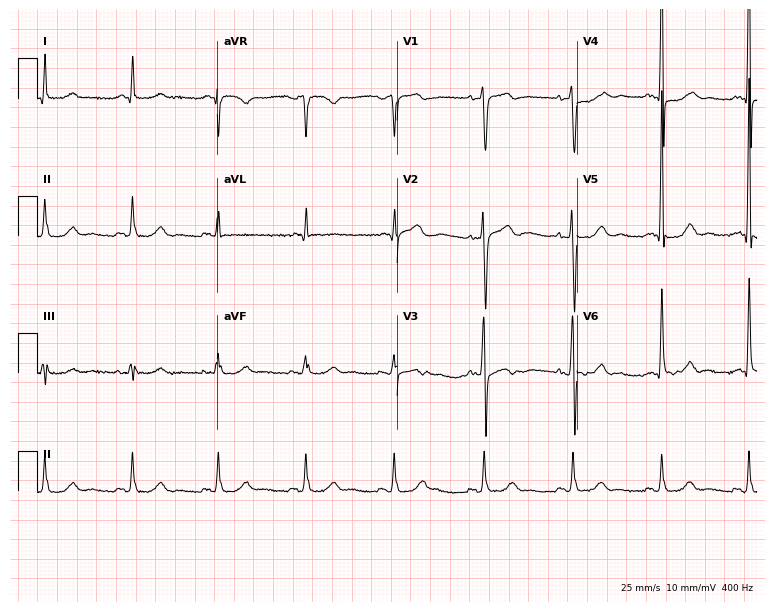
12-lead ECG from a male patient, 65 years old. Labelled as a normal ECG.